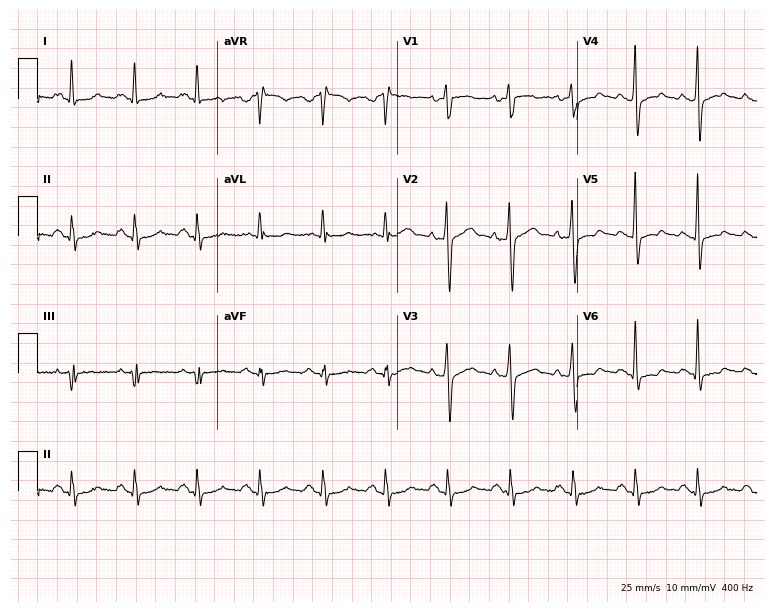
Electrocardiogram (7.3-second recording at 400 Hz), a male, 40 years old. Overall reading on record: normal ECG.